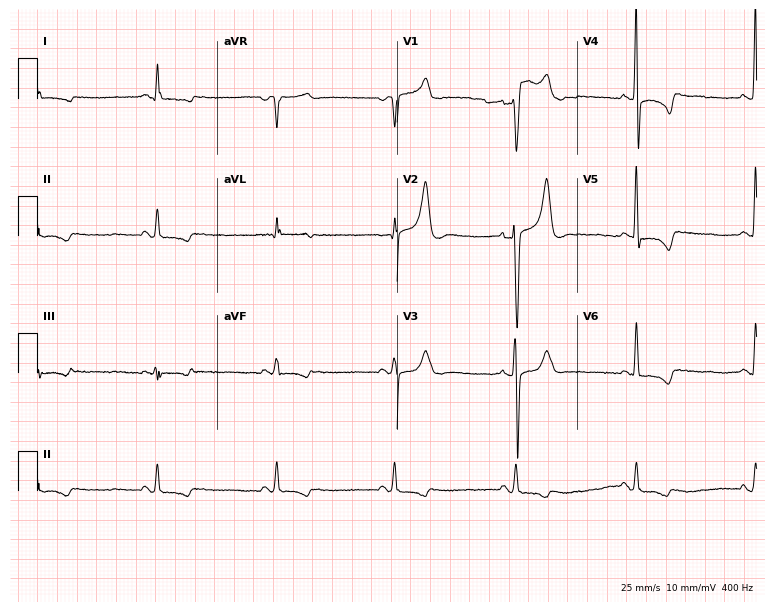
Standard 12-lead ECG recorded from a 56-year-old male patient. None of these six findings is recorded: first-degree AV block, right bundle branch block, left bundle branch block, sinus bradycardia, atrial fibrillation, sinus tachycardia. Findings outside these six are not listed.